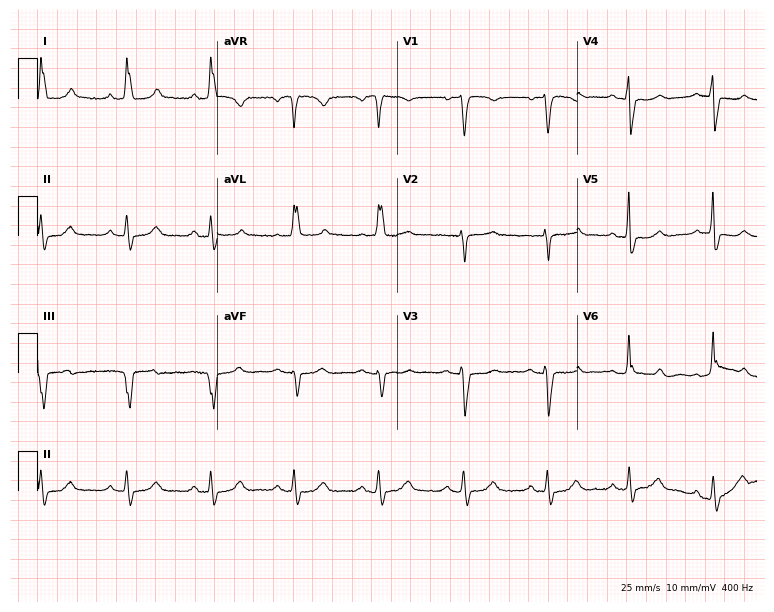
12-lead ECG from an 81-year-old female patient (7.3-second recording at 400 Hz). No first-degree AV block, right bundle branch block, left bundle branch block, sinus bradycardia, atrial fibrillation or sinus tachycardia recorded for this tracing.